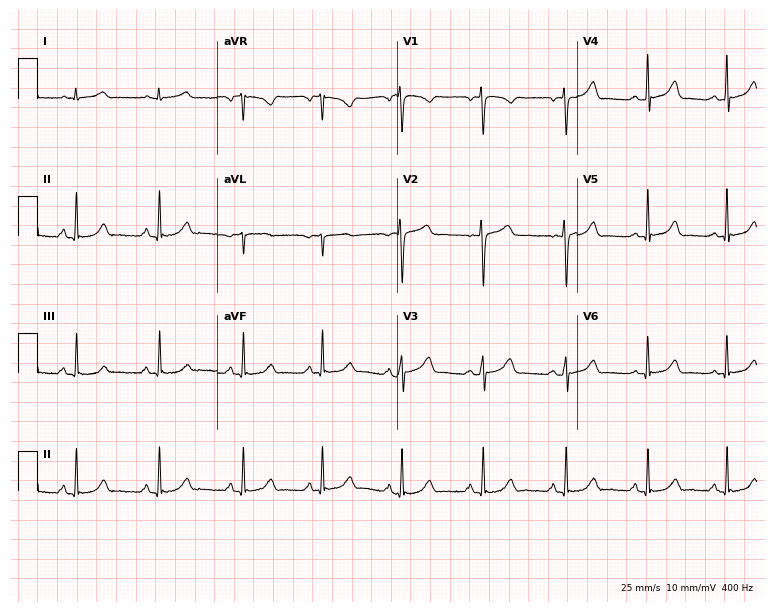
ECG (7.3-second recording at 400 Hz) — a female, 19 years old. Labelled as a normal ECG.